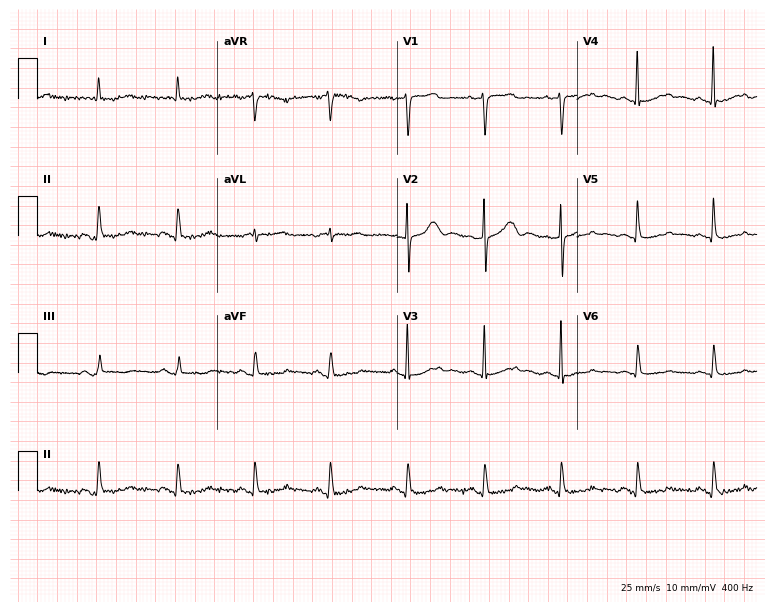
Standard 12-lead ECG recorded from a woman, 31 years old (7.3-second recording at 400 Hz). None of these six findings is recorded: first-degree AV block, right bundle branch block, left bundle branch block, sinus bradycardia, atrial fibrillation, sinus tachycardia.